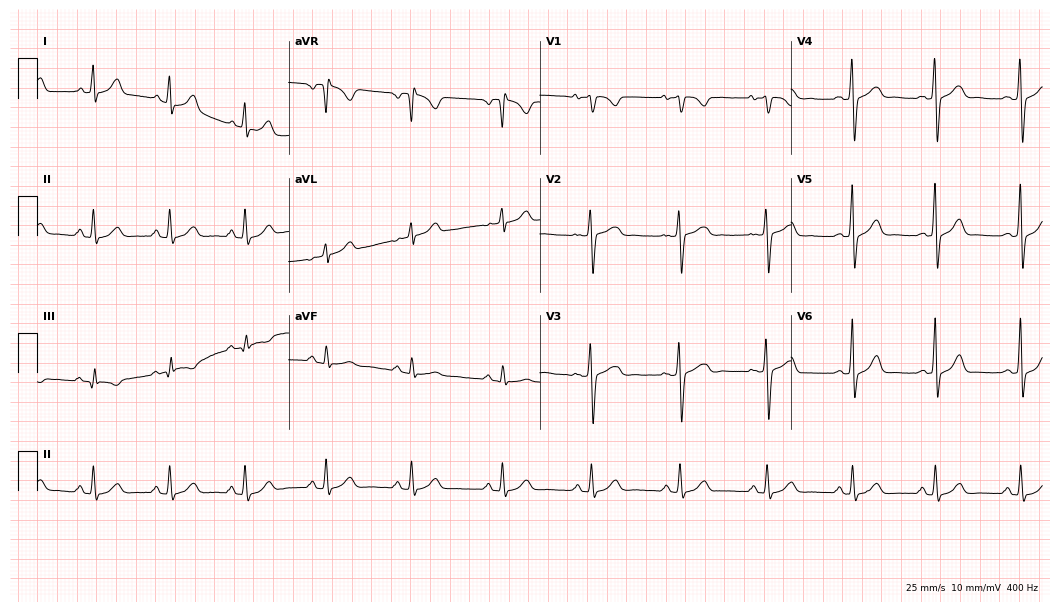
Resting 12-lead electrocardiogram (10.2-second recording at 400 Hz). Patient: a 25-year-old female. Read as a normal ECG.